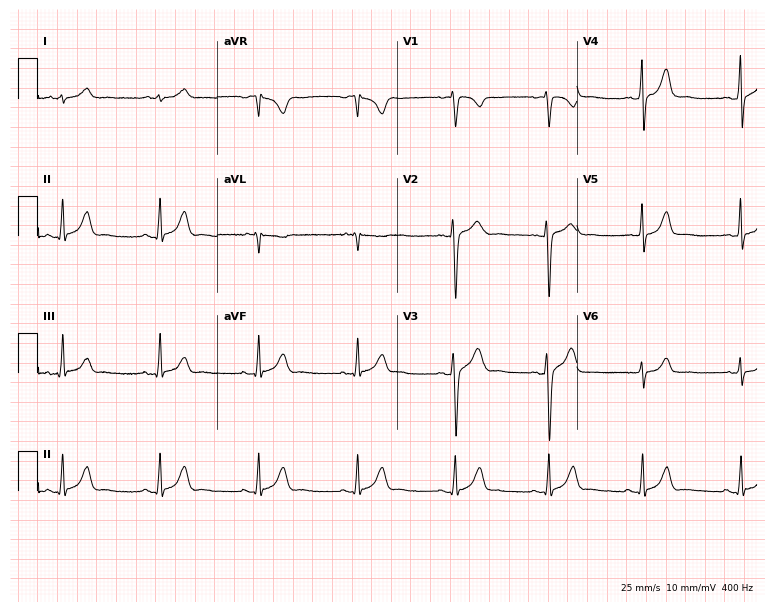
12-lead ECG from a male patient, 30 years old. Recorded interpretation: within normal limits.